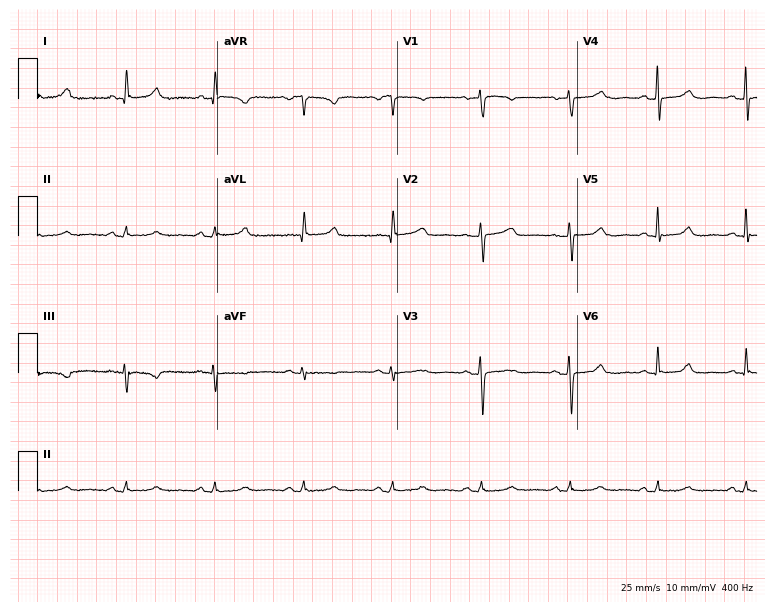
12-lead ECG (7.3-second recording at 400 Hz) from a 71-year-old female. Screened for six findings — first-degree AV block, right bundle branch block, left bundle branch block, sinus bradycardia, atrial fibrillation, sinus tachycardia — none is recorded.